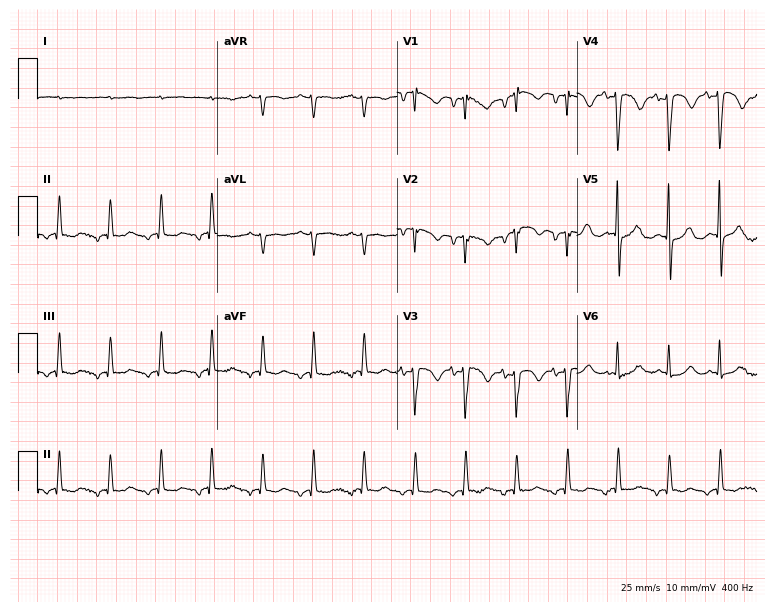
12-lead ECG from a female patient, 83 years old (7.3-second recording at 400 Hz). Shows sinus tachycardia (a sinus rate of 100 beats per minute or more).